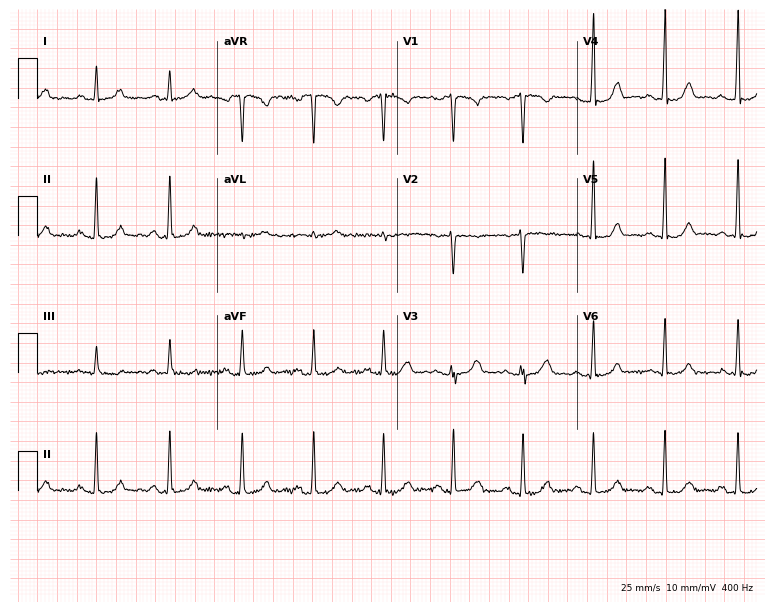
12-lead ECG from a female, 37 years old. No first-degree AV block, right bundle branch block, left bundle branch block, sinus bradycardia, atrial fibrillation or sinus tachycardia recorded for this tracing. Other findings, if any, are not listed.